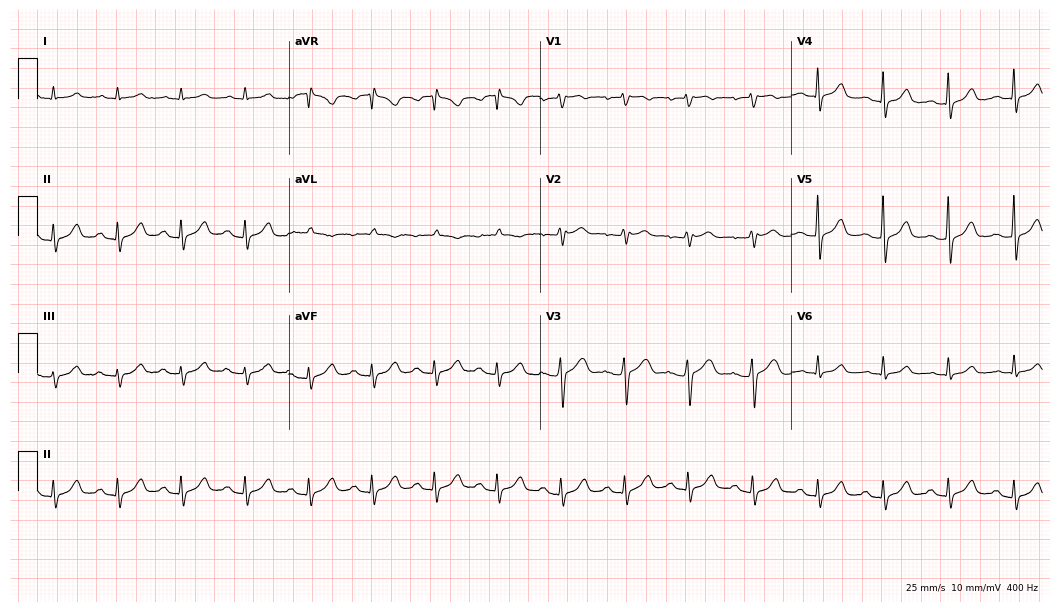
Standard 12-lead ECG recorded from a woman, 58 years old (10.2-second recording at 400 Hz). Read as a normal ECG.